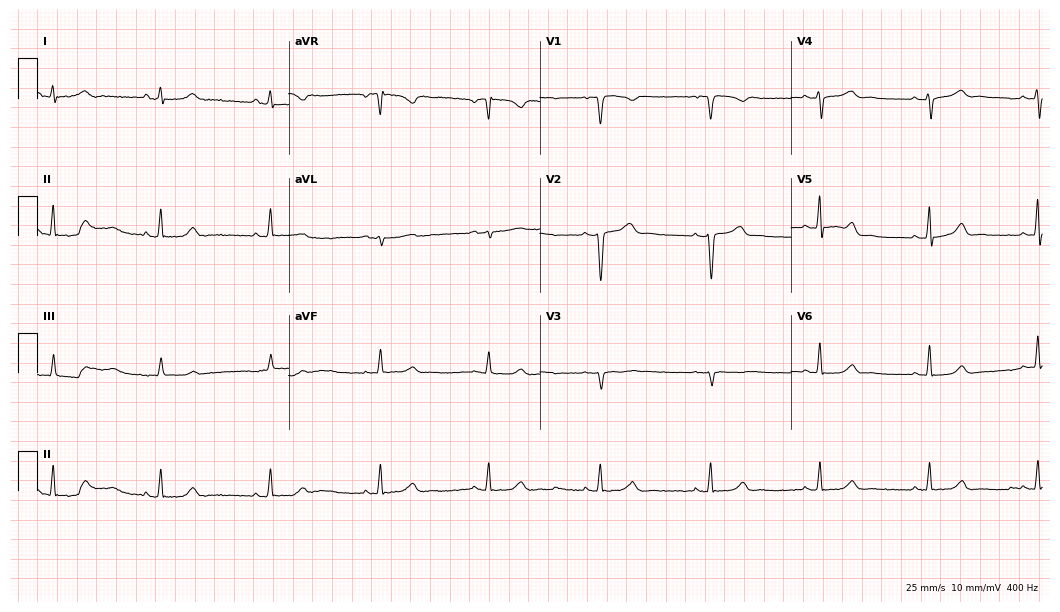
Electrocardiogram (10.2-second recording at 400 Hz), a 46-year-old female patient. Of the six screened findings (first-degree AV block, right bundle branch block, left bundle branch block, sinus bradycardia, atrial fibrillation, sinus tachycardia), none is recorded. Findings outside these six are not listed.